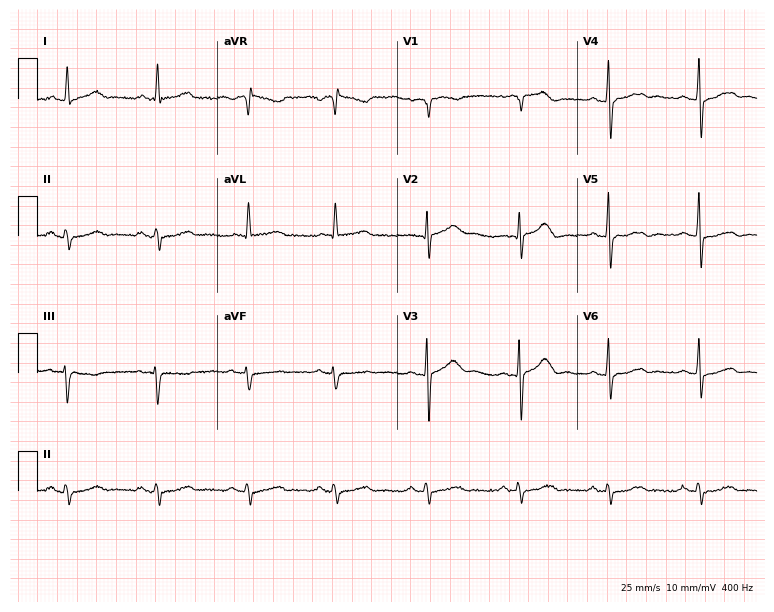
Resting 12-lead electrocardiogram (7.3-second recording at 400 Hz). Patient: a woman, 79 years old. Read as a normal ECG.